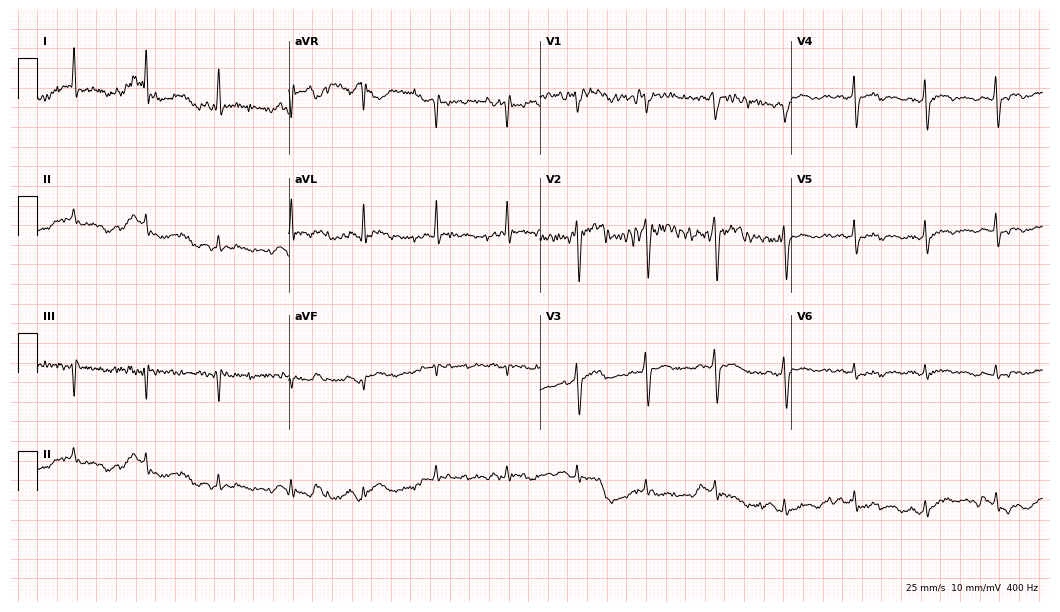
12-lead ECG from a 36-year-old male patient. No first-degree AV block, right bundle branch block, left bundle branch block, sinus bradycardia, atrial fibrillation or sinus tachycardia recorded for this tracing.